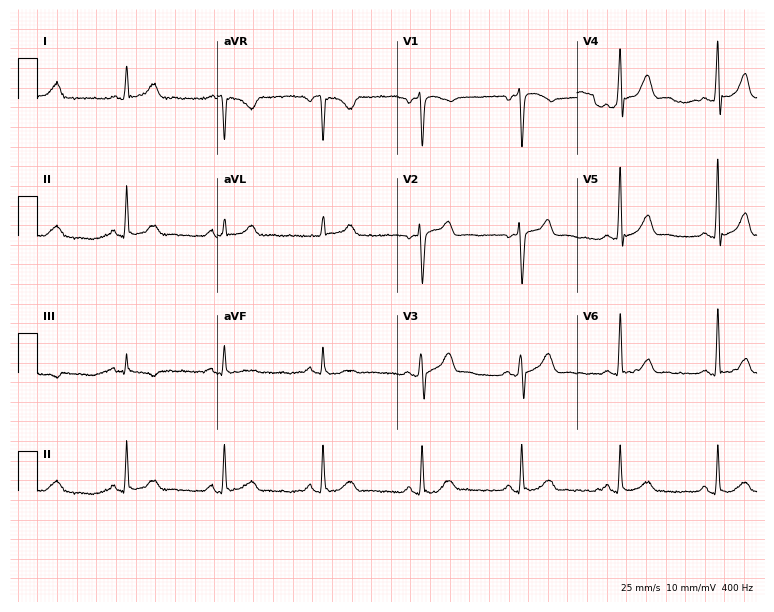
12-lead ECG from a man, 44 years old. Labelled as a normal ECG.